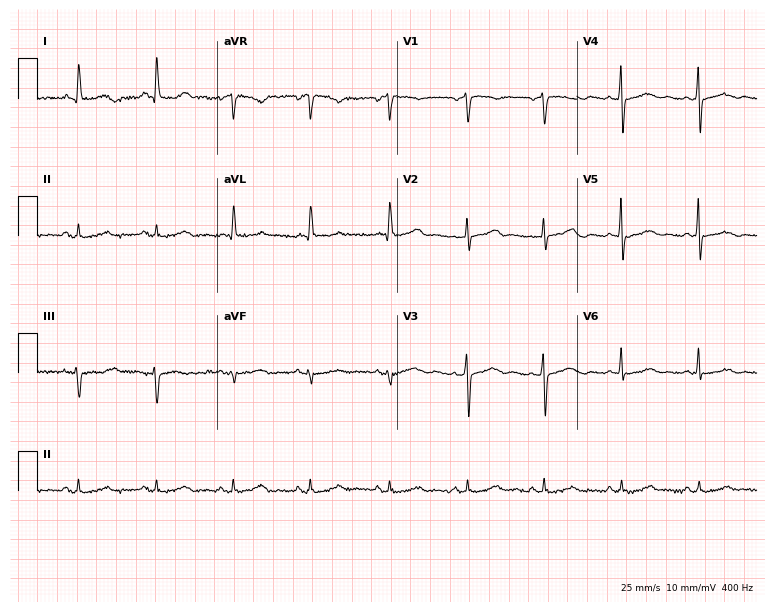
Electrocardiogram (7.3-second recording at 400 Hz), a 54-year-old woman. Overall reading on record: normal ECG.